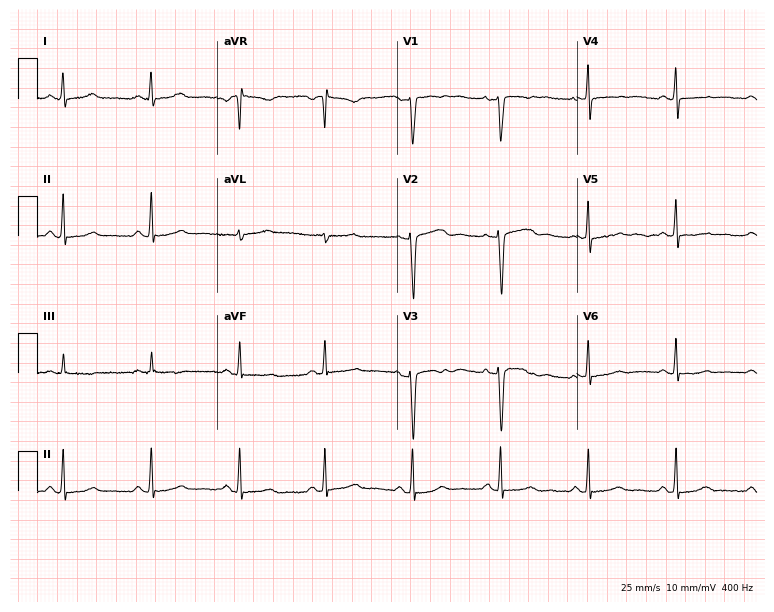
ECG (7.3-second recording at 400 Hz) — a 60-year-old woman. Screened for six findings — first-degree AV block, right bundle branch block, left bundle branch block, sinus bradycardia, atrial fibrillation, sinus tachycardia — none is recorded. Other findings, if any, are not listed.